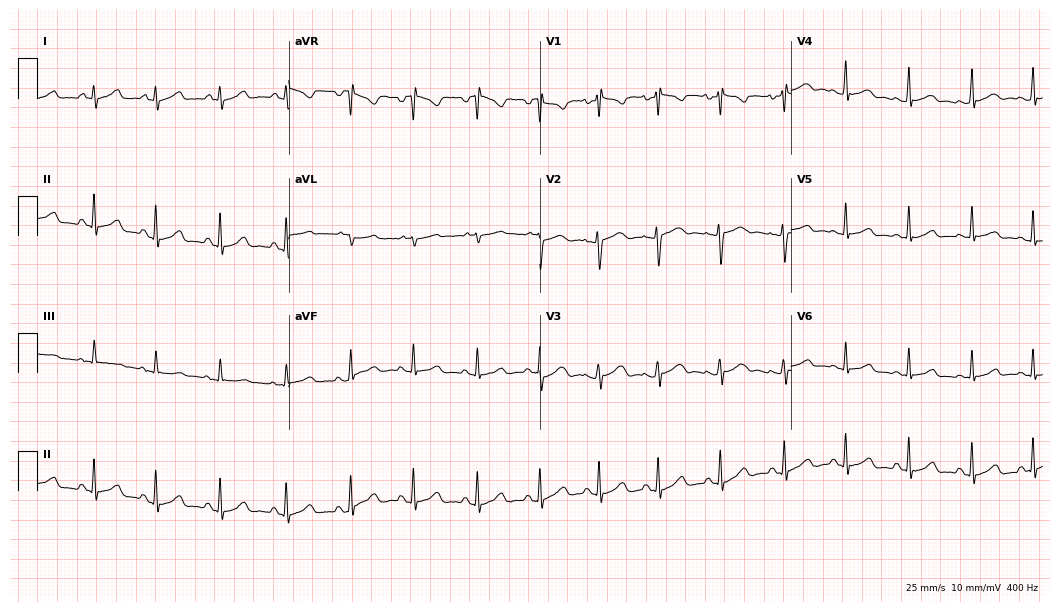
Standard 12-lead ECG recorded from a female, 28 years old. None of these six findings is recorded: first-degree AV block, right bundle branch block (RBBB), left bundle branch block (LBBB), sinus bradycardia, atrial fibrillation (AF), sinus tachycardia.